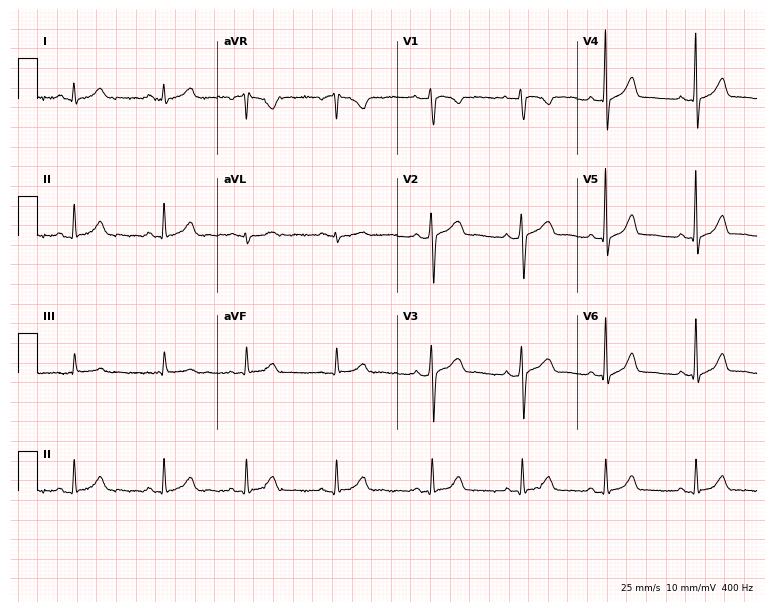
12-lead ECG from a 30-year-old female. Screened for six findings — first-degree AV block, right bundle branch block, left bundle branch block, sinus bradycardia, atrial fibrillation, sinus tachycardia — none is recorded.